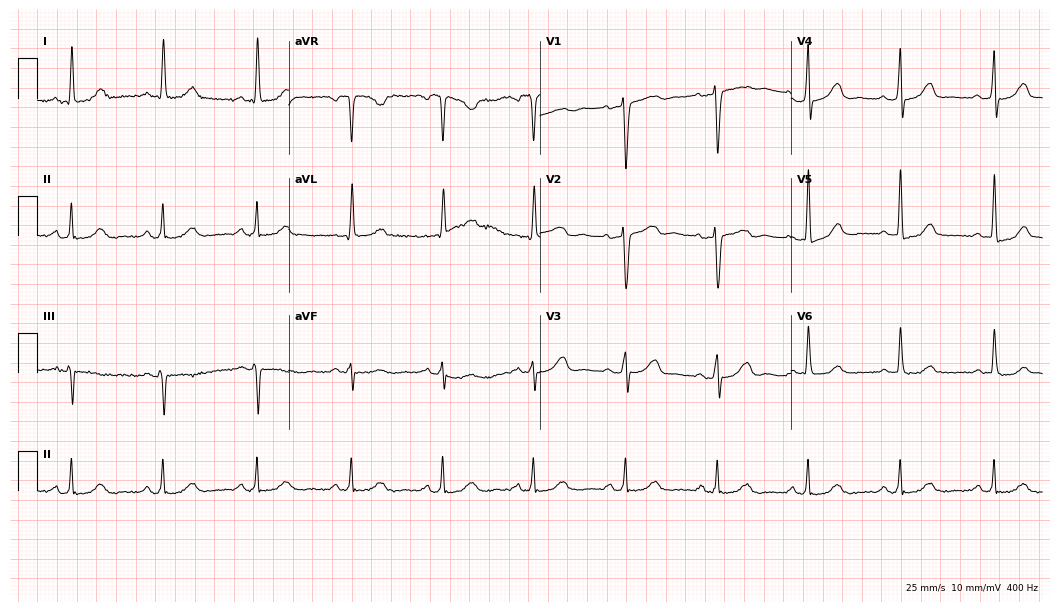
Electrocardiogram, a female, 53 years old. Of the six screened findings (first-degree AV block, right bundle branch block, left bundle branch block, sinus bradycardia, atrial fibrillation, sinus tachycardia), none is recorded.